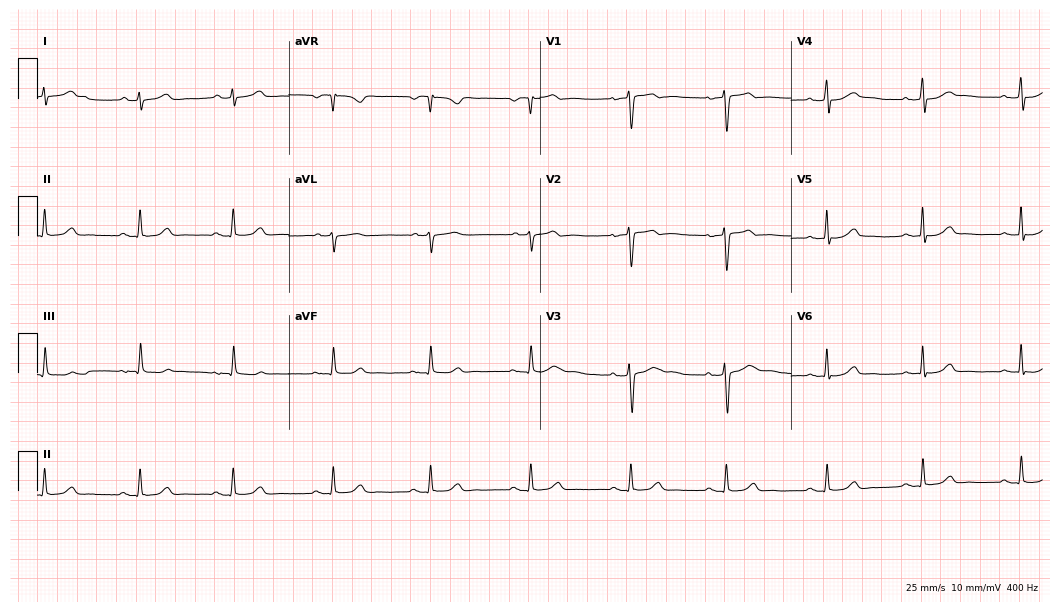
12-lead ECG (10.2-second recording at 400 Hz) from a female, 47 years old. Labelled as a normal ECG.